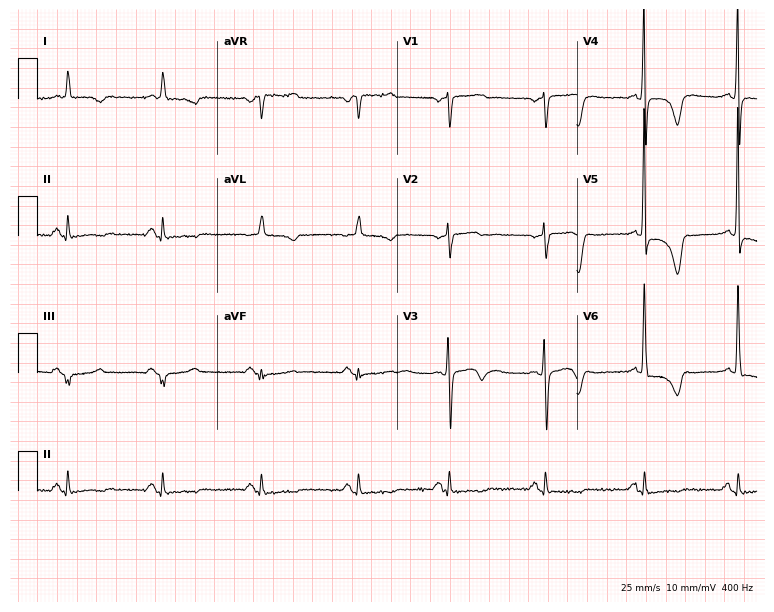
Standard 12-lead ECG recorded from a 73-year-old female patient (7.3-second recording at 400 Hz). None of these six findings is recorded: first-degree AV block, right bundle branch block (RBBB), left bundle branch block (LBBB), sinus bradycardia, atrial fibrillation (AF), sinus tachycardia.